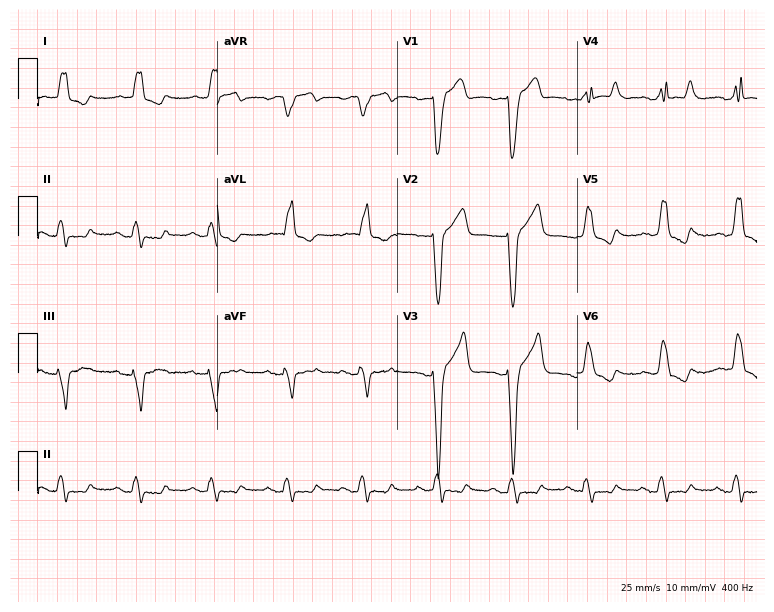
12-lead ECG from a male, 81 years old. Shows left bundle branch block (LBBB).